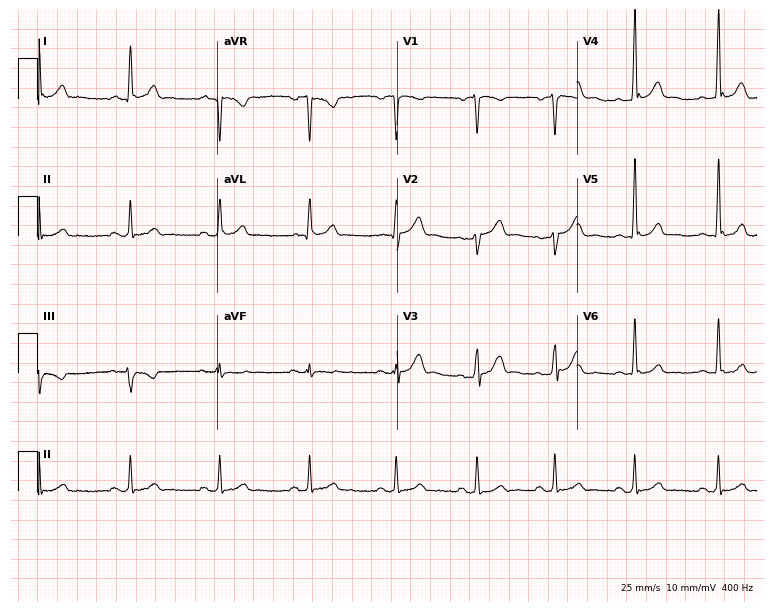
12-lead ECG (7.3-second recording at 400 Hz) from a 37-year-old male patient. Labelled as a normal ECG.